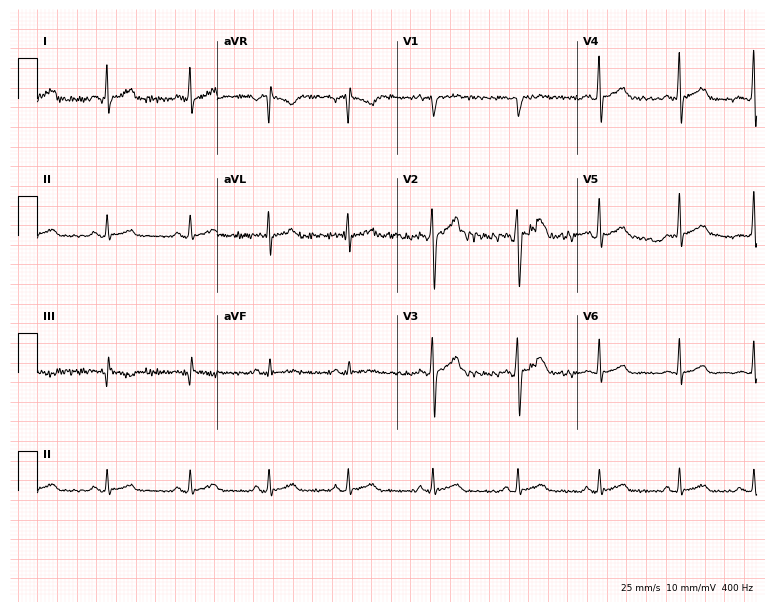
12-lead ECG from a man, 37 years old. Labelled as a normal ECG.